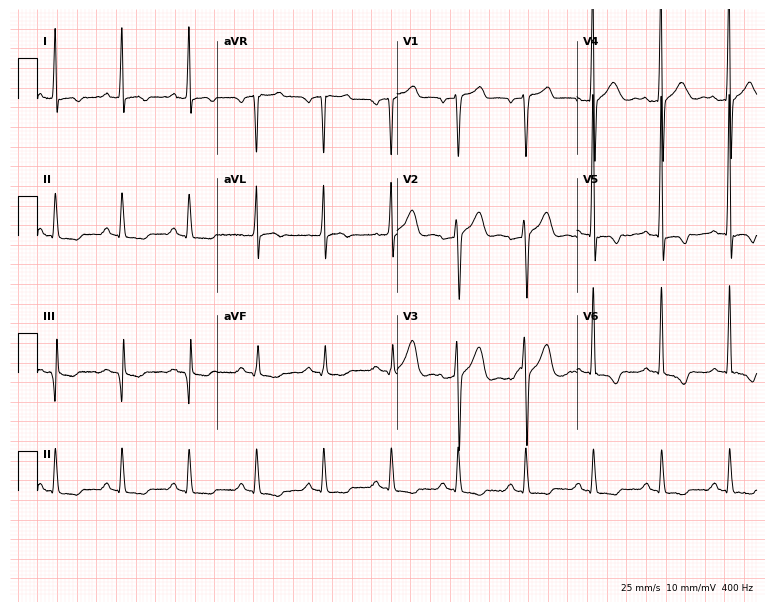
Electrocardiogram, a male patient, 52 years old. Of the six screened findings (first-degree AV block, right bundle branch block, left bundle branch block, sinus bradycardia, atrial fibrillation, sinus tachycardia), none is recorded. Other findings, if any, are not listed.